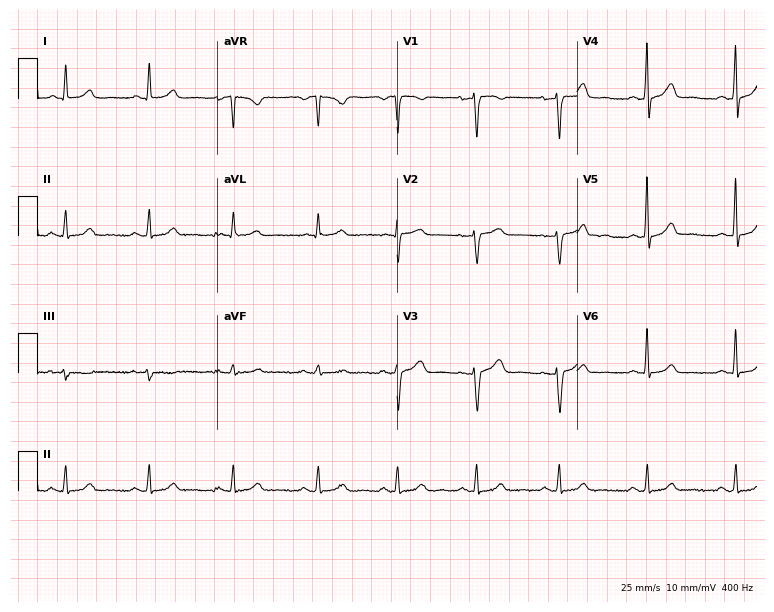
Standard 12-lead ECG recorded from a woman, 34 years old. Read as a normal ECG.